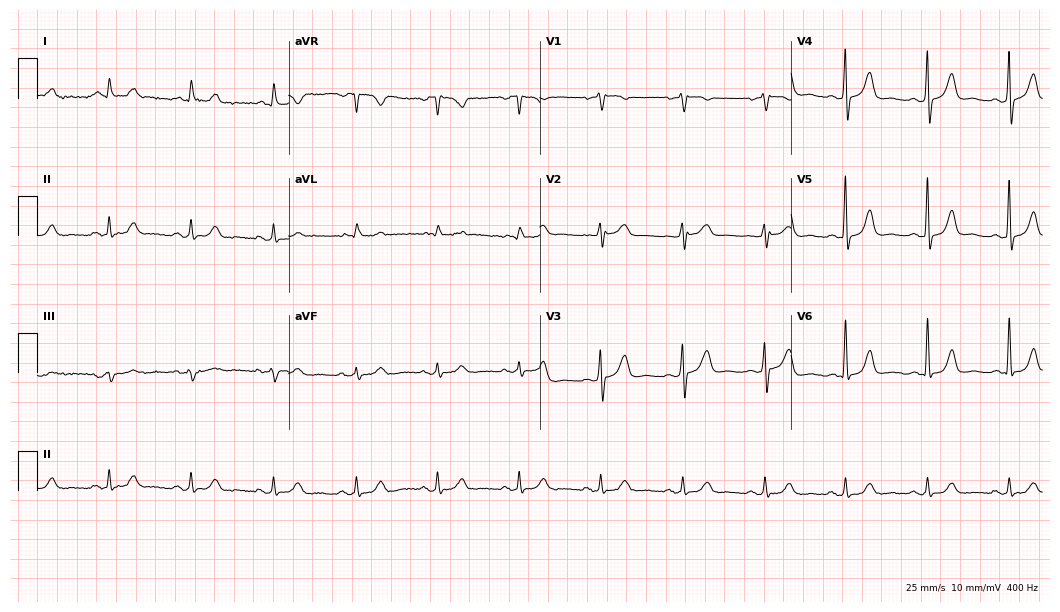
ECG — a male, 82 years old. Labelled as a normal ECG.